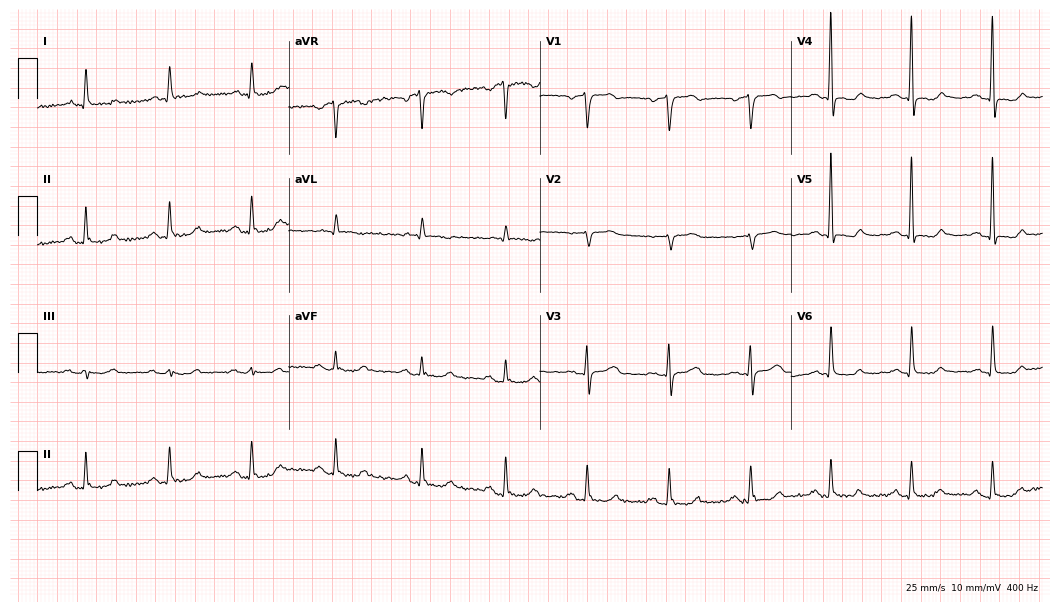
Electrocardiogram, a female, 62 years old. Overall reading on record: normal ECG.